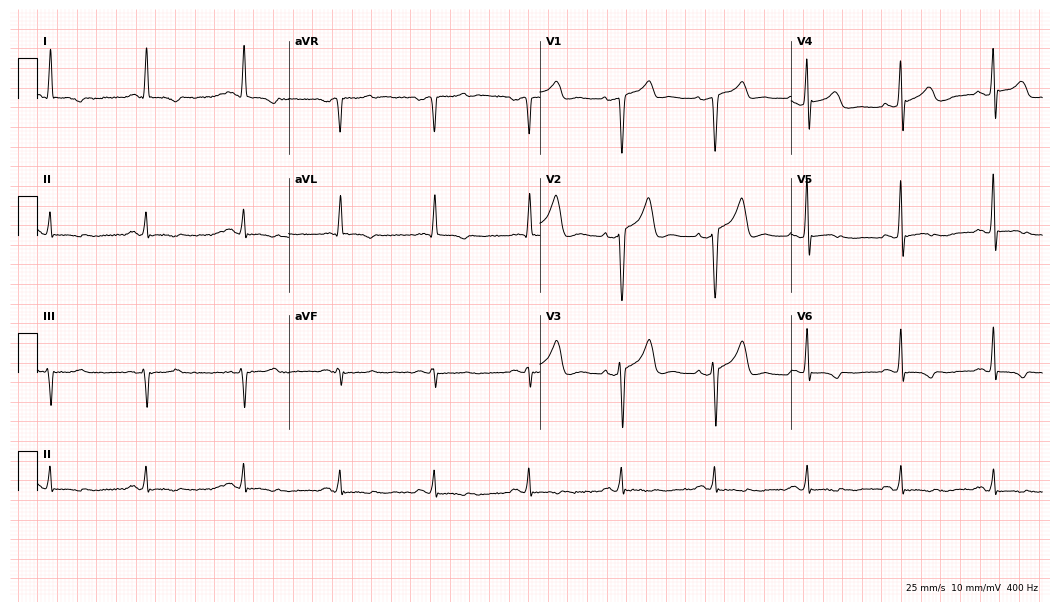
12-lead ECG from a man, 58 years old. No first-degree AV block, right bundle branch block (RBBB), left bundle branch block (LBBB), sinus bradycardia, atrial fibrillation (AF) or sinus tachycardia recorded for this tracing.